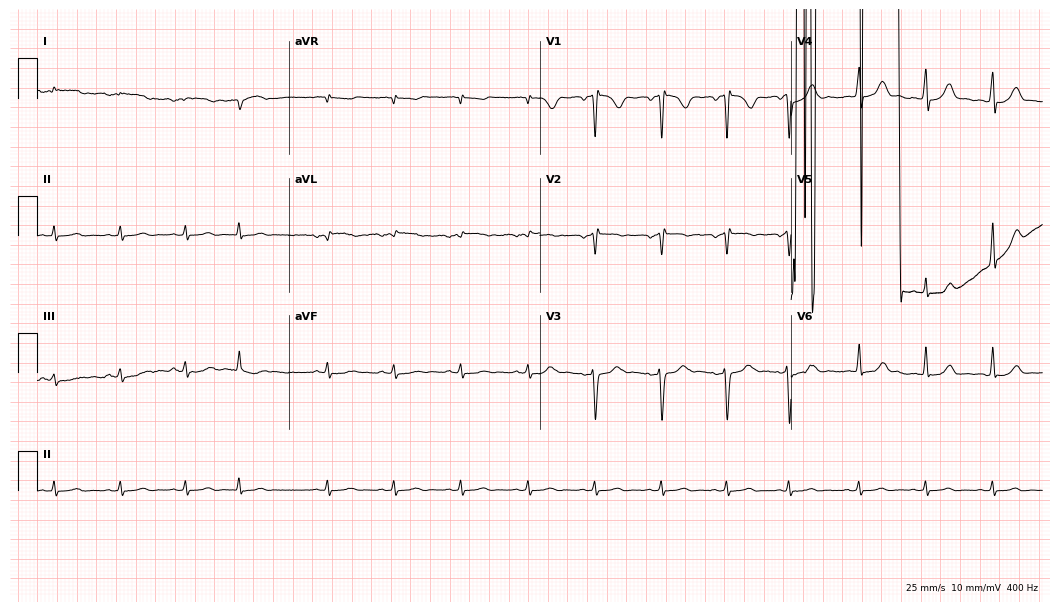
Standard 12-lead ECG recorded from a 32-year-old female. None of these six findings is recorded: first-degree AV block, right bundle branch block, left bundle branch block, sinus bradycardia, atrial fibrillation, sinus tachycardia.